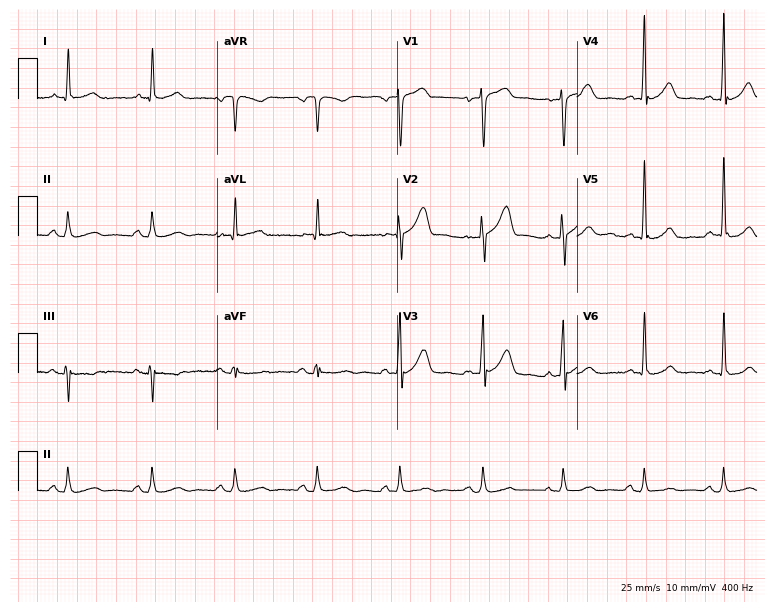
Electrocardiogram (7.3-second recording at 400 Hz), a man, 46 years old. Of the six screened findings (first-degree AV block, right bundle branch block, left bundle branch block, sinus bradycardia, atrial fibrillation, sinus tachycardia), none is recorded.